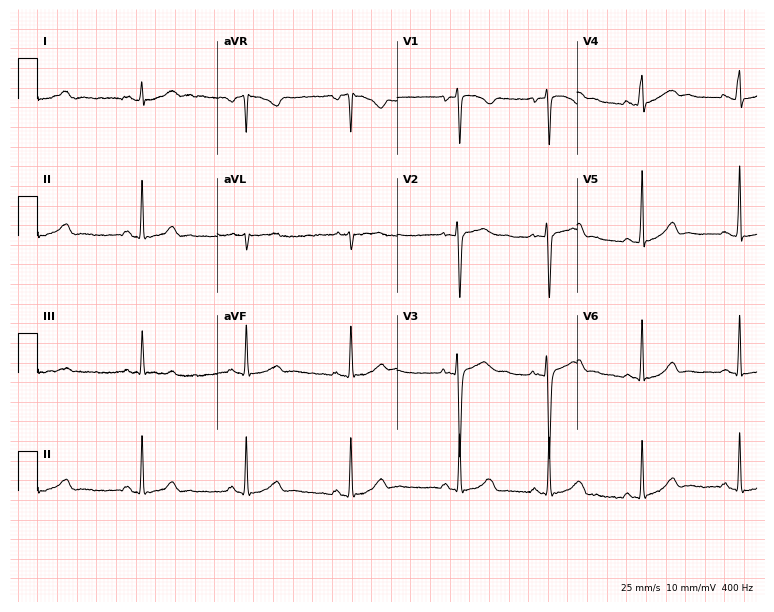
Standard 12-lead ECG recorded from a female patient, 21 years old. Read as a normal ECG.